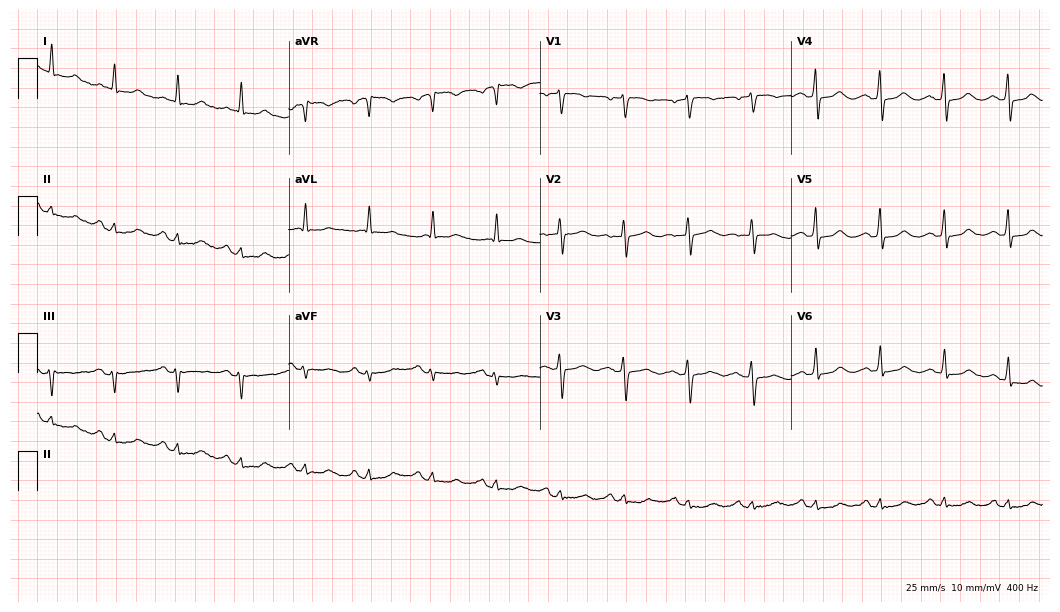
ECG — a 61-year-old woman. Labelled as a normal ECG.